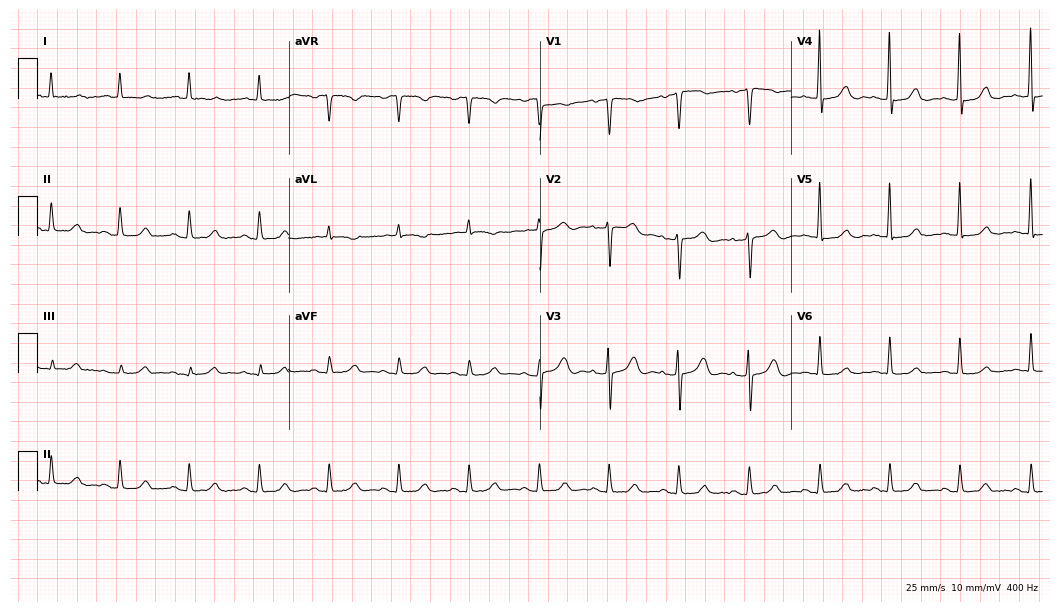
Electrocardiogram (10.2-second recording at 400 Hz), a 73-year-old female. Of the six screened findings (first-degree AV block, right bundle branch block, left bundle branch block, sinus bradycardia, atrial fibrillation, sinus tachycardia), none is recorded.